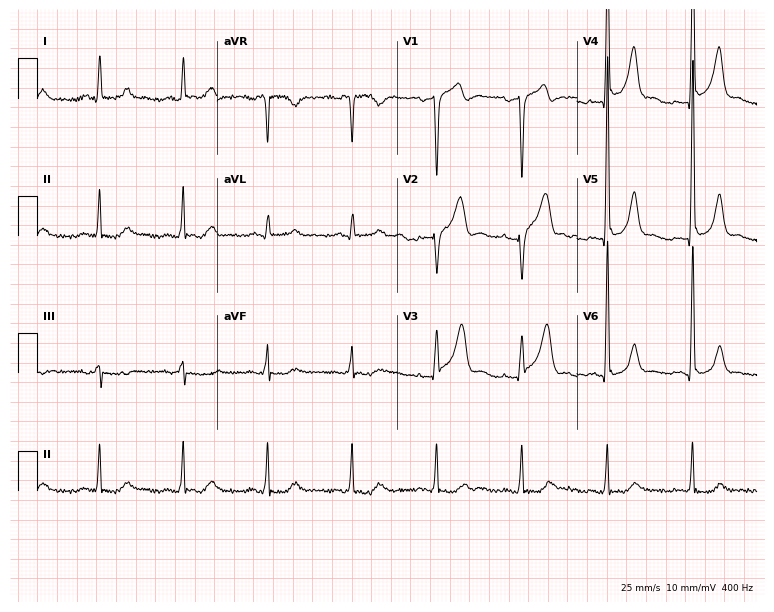
12-lead ECG from a 69-year-old male. Labelled as a normal ECG.